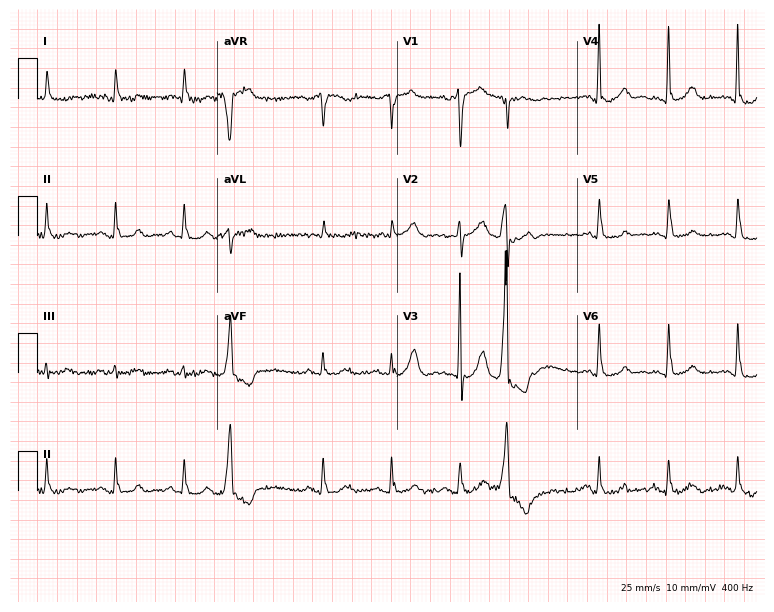
12-lead ECG (7.3-second recording at 400 Hz) from a 72-year-old male patient. Screened for six findings — first-degree AV block, right bundle branch block, left bundle branch block, sinus bradycardia, atrial fibrillation, sinus tachycardia — none is recorded. Only these six findings were labelled.